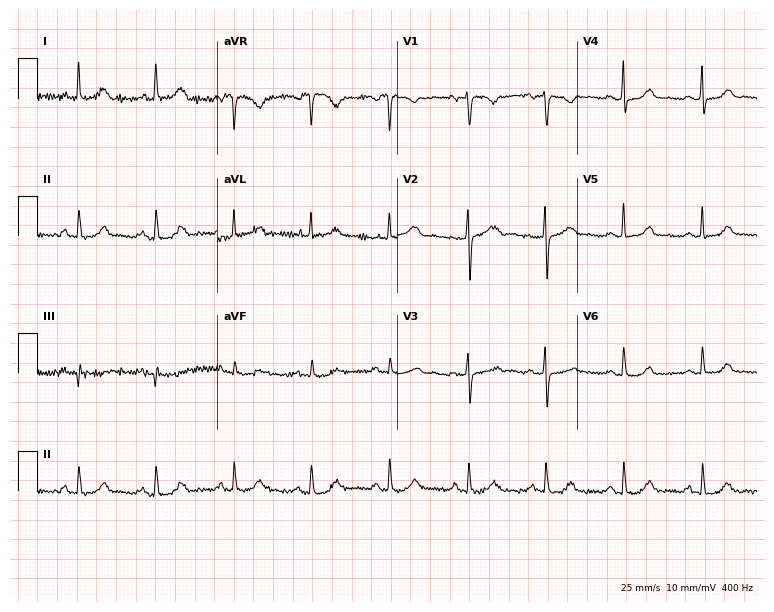
Resting 12-lead electrocardiogram. Patient: a 58-year-old female. Read as a normal ECG.